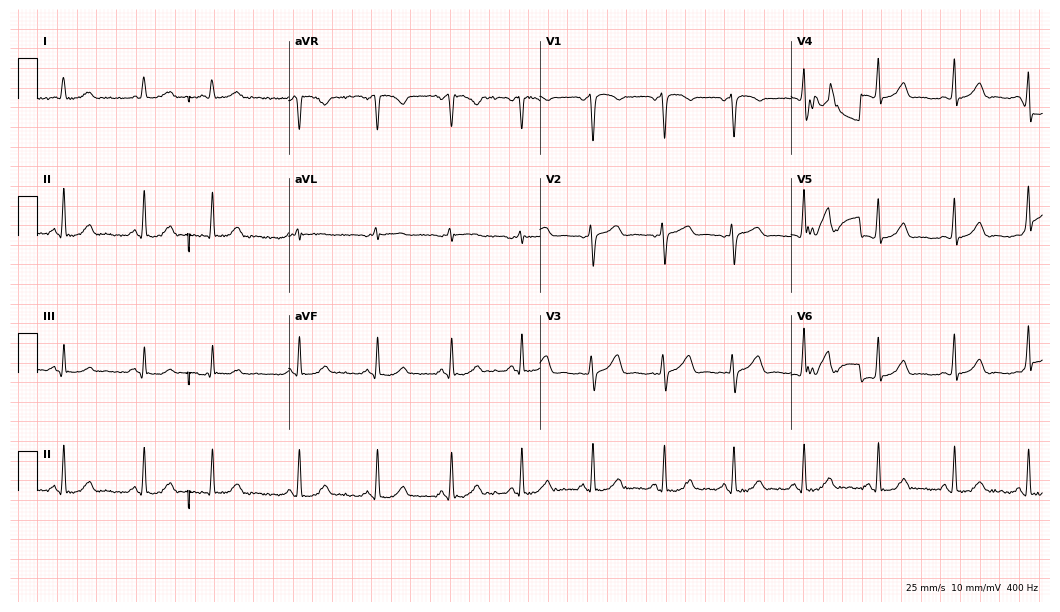
12-lead ECG (10.2-second recording at 400 Hz) from a woman, 47 years old. Screened for six findings — first-degree AV block, right bundle branch block (RBBB), left bundle branch block (LBBB), sinus bradycardia, atrial fibrillation (AF), sinus tachycardia — none is recorded. Only these six findings were labelled.